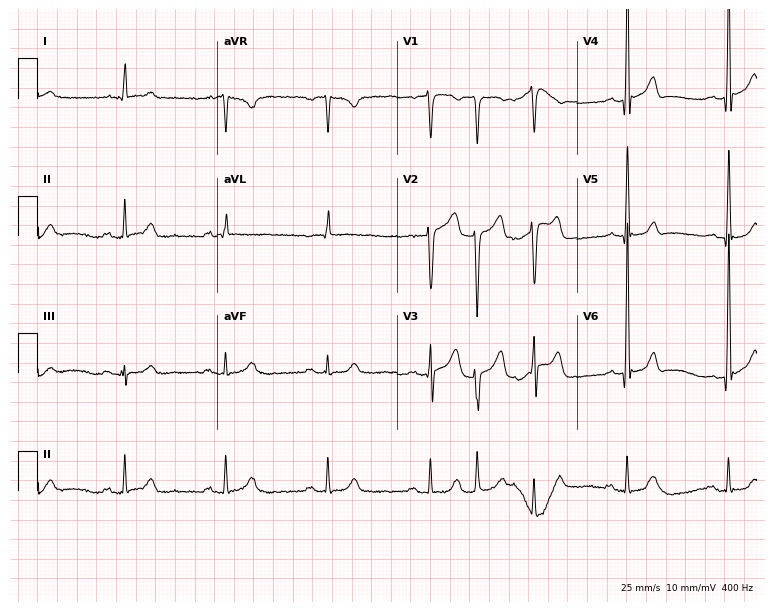
ECG (7.3-second recording at 400 Hz) — a man, 77 years old. Screened for six findings — first-degree AV block, right bundle branch block, left bundle branch block, sinus bradycardia, atrial fibrillation, sinus tachycardia — none is recorded.